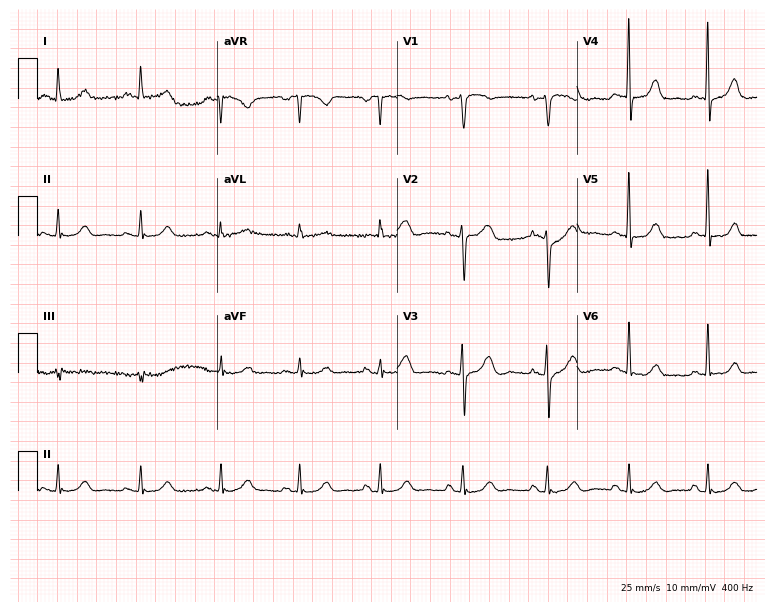
Standard 12-lead ECG recorded from a 61-year-old female patient (7.3-second recording at 400 Hz). Read as a normal ECG.